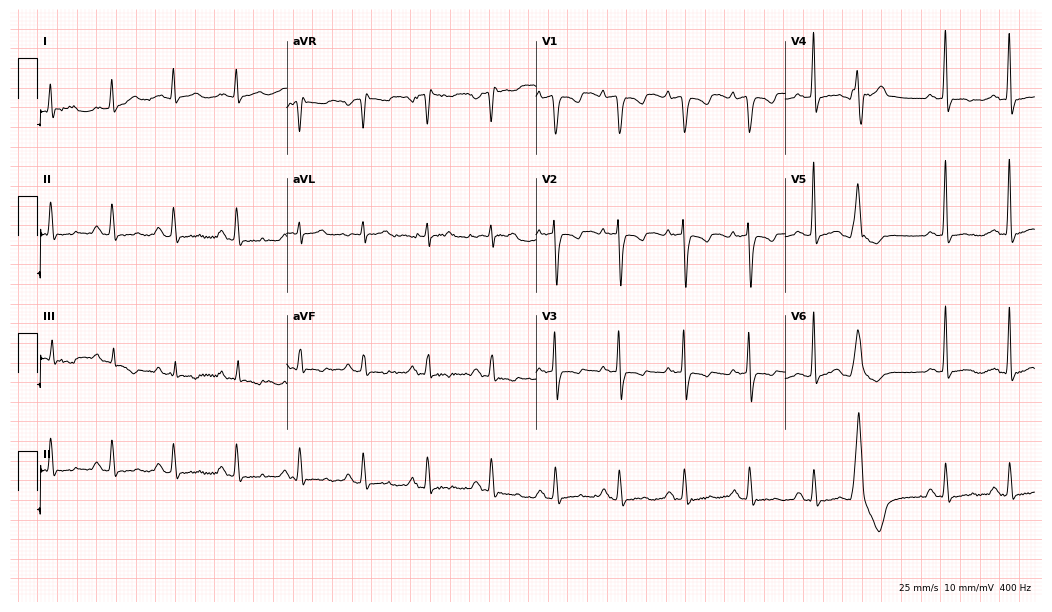
Standard 12-lead ECG recorded from a 66-year-old male patient. None of these six findings is recorded: first-degree AV block, right bundle branch block (RBBB), left bundle branch block (LBBB), sinus bradycardia, atrial fibrillation (AF), sinus tachycardia. Only these six findings were labelled.